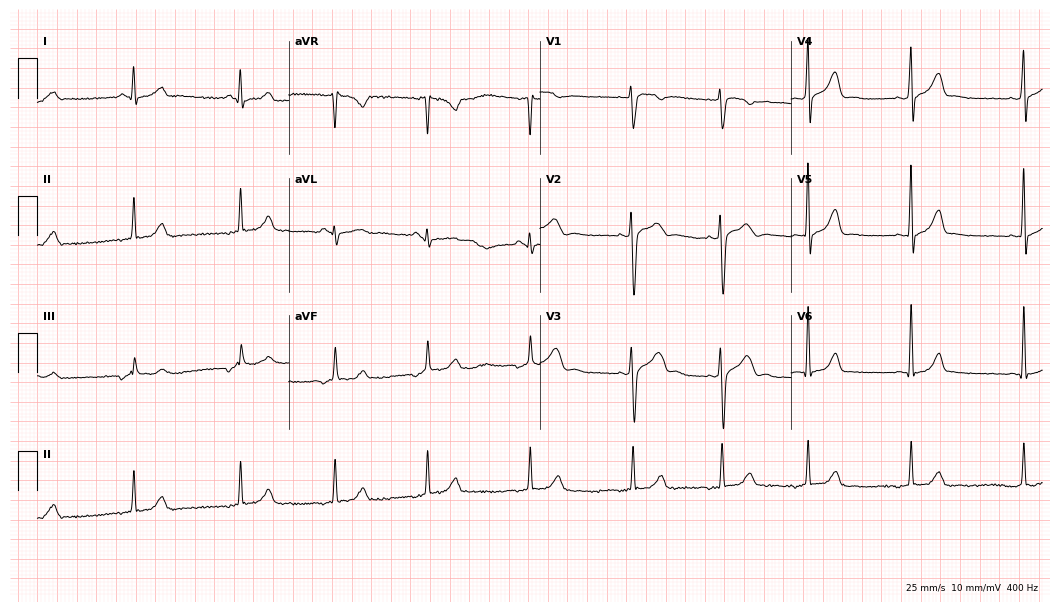
Standard 12-lead ECG recorded from a 22-year-old woman (10.2-second recording at 400 Hz). None of these six findings is recorded: first-degree AV block, right bundle branch block (RBBB), left bundle branch block (LBBB), sinus bradycardia, atrial fibrillation (AF), sinus tachycardia. Only these six findings were labelled.